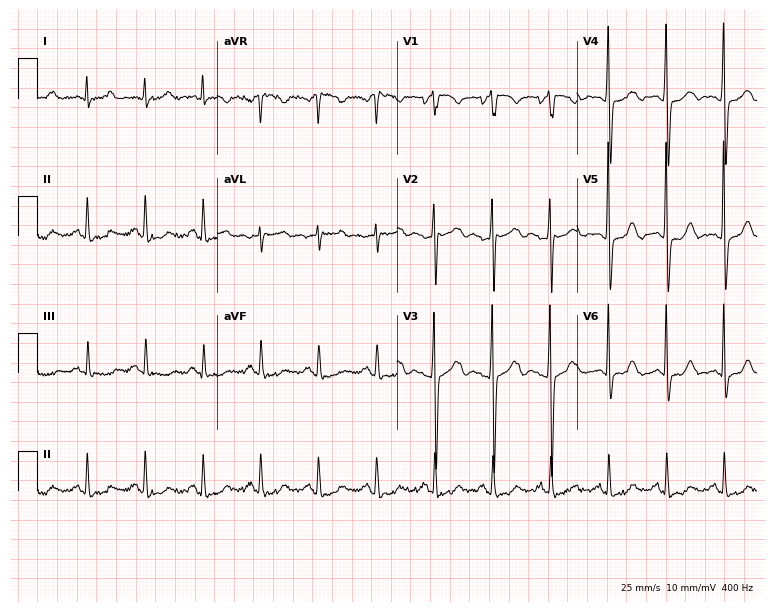
Resting 12-lead electrocardiogram (7.3-second recording at 400 Hz). Patient: a 79-year-old female. The tracing shows sinus tachycardia (a sinus rate of 100 beats per minute or more).